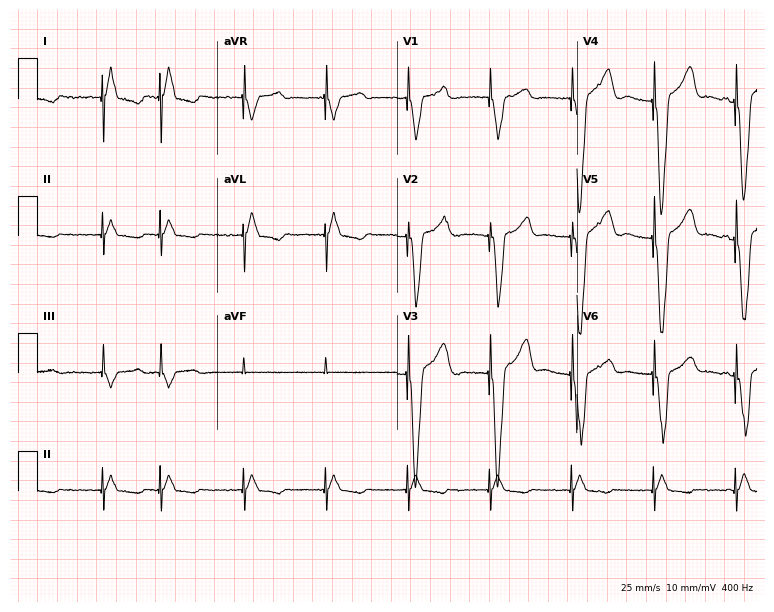
Electrocardiogram (7.3-second recording at 400 Hz), a 43-year-old female. Of the six screened findings (first-degree AV block, right bundle branch block, left bundle branch block, sinus bradycardia, atrial fibrillation, sinus tachycardia), none is recorded.